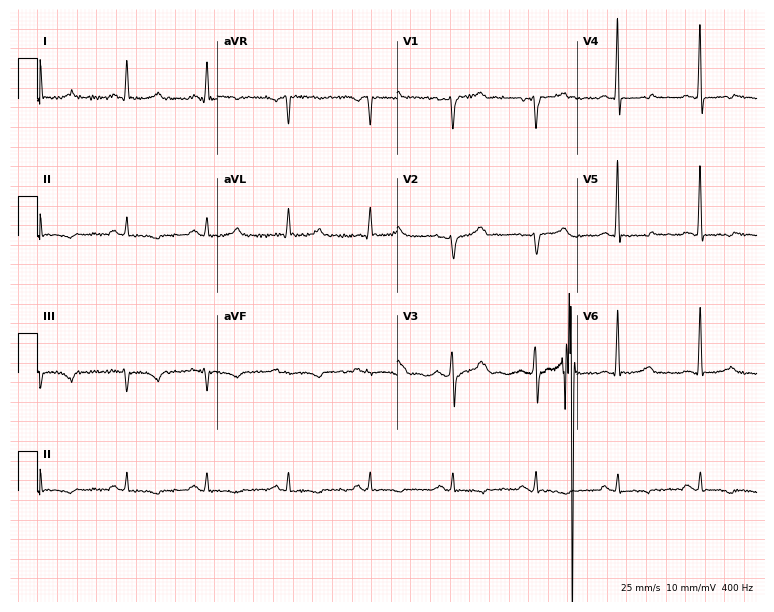
Standard 12-lead ECG recorded from a man, 55 years old (7.3-second recording at 400 Hz). Read as a normal ECG.